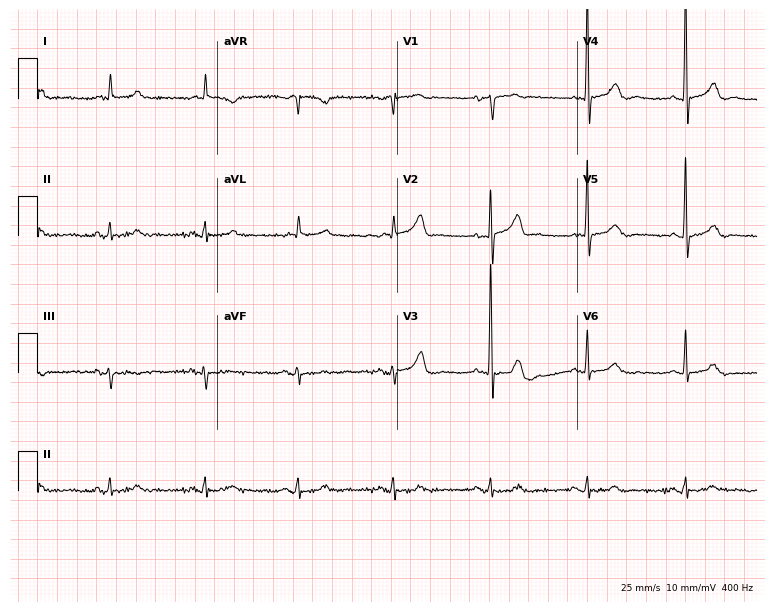
Standard 12-lead ECG recorded from a male patient, 65 years old (7.3-second recording at 400 Hz). Read as a normal ECG.